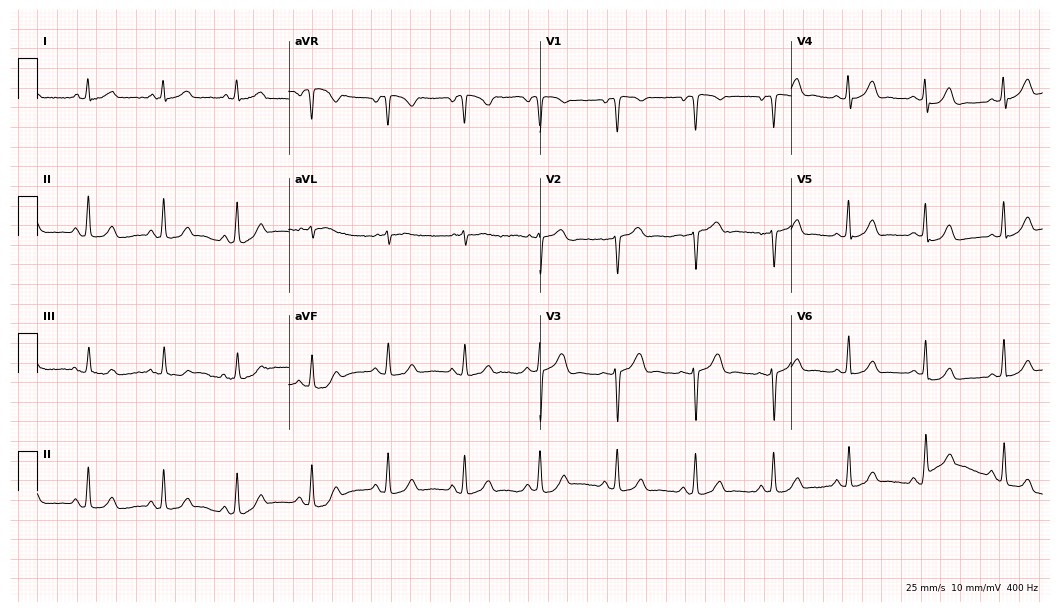
12-lead ECG (10.2-second recording at 400 Hz) from a 33-year-old male patient. Labelled as a normal ECG.